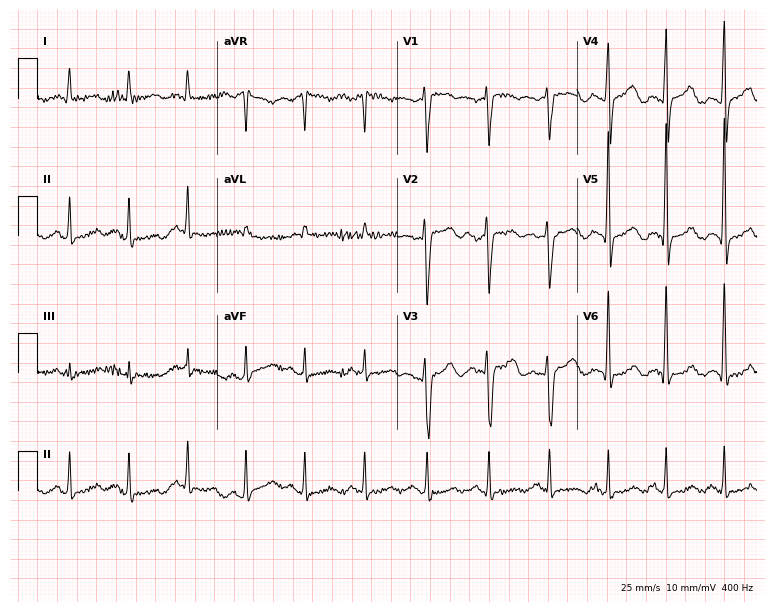
Resting 12-lead electrocardiogram. Patient: a 31-year-old male. None of these six findings is recorded: first-degree AV block, right bundle branch block (RBBB), left bundle branch block (LBBB), sinus bradycardia, atrial fibrillation (AF), sinus tachycardia. Findings outside these six are not listed.